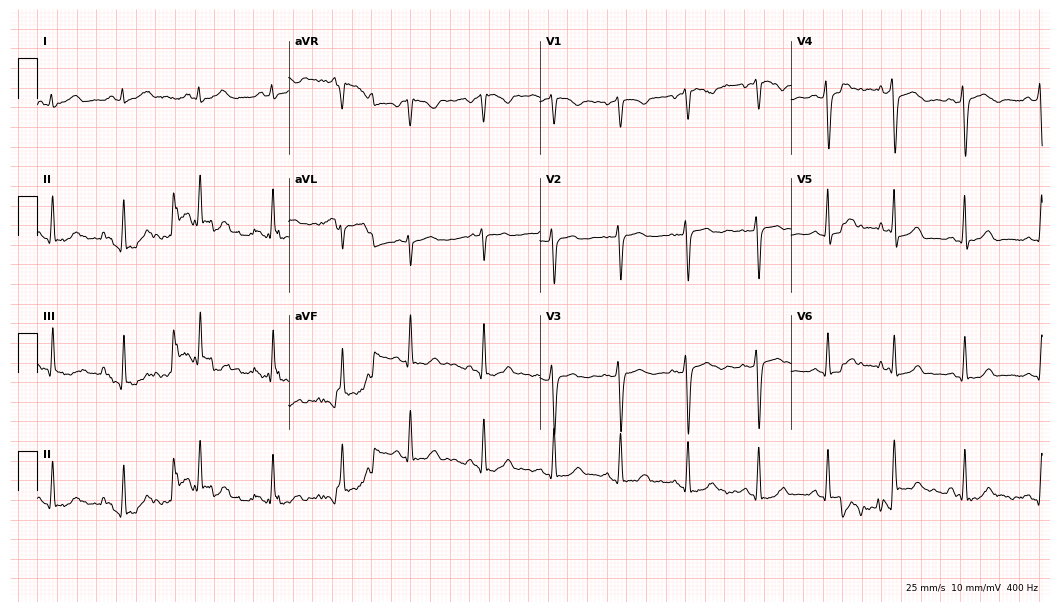
ECG (10.2-second recording at 400 Hz) — a female patient, 21 years old. Labelled as a normal ECG.